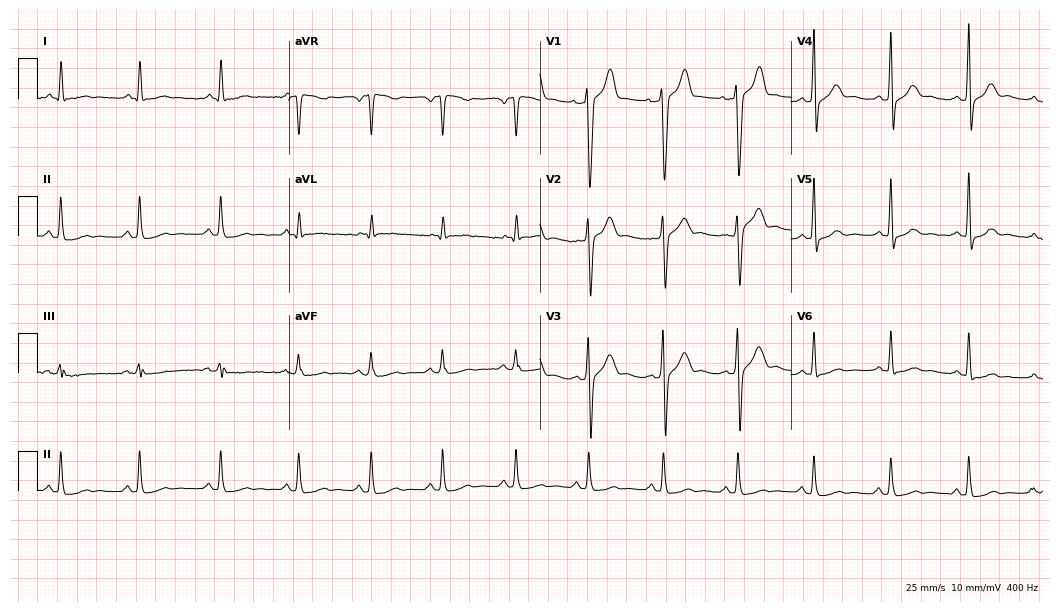
ECG — a man, 37 years old. Screened for six findings — first-degree AV block, right bundle branch block, left bundle branch block, sinus bradycardia, atrial fibrillation, sinus tachycardia — none is recorded. Findings outside these six are not listed.